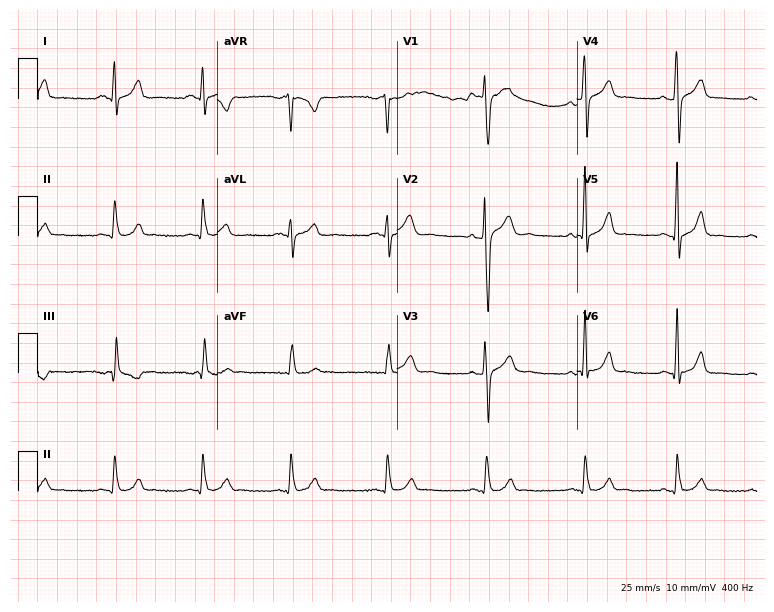
ECG — a male, 33 years old. Screened for six findings — first-degree AV block, right bundle branch block, left bundle branch block, sinus bradycardia, atrial fibrillation, sinus tachycardia — none is recorded.